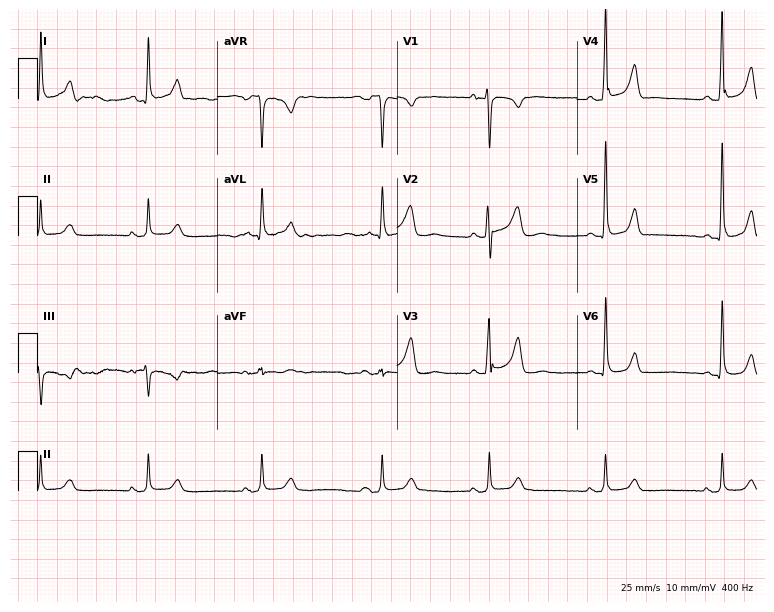
12-lead ECG from a female patient, 60 years old. No first-degree AV block, right bundle branch block, left bundle branch block, sinus bradycardia, atrial fibrillation or sinus tachycardia recorded for this tracing.